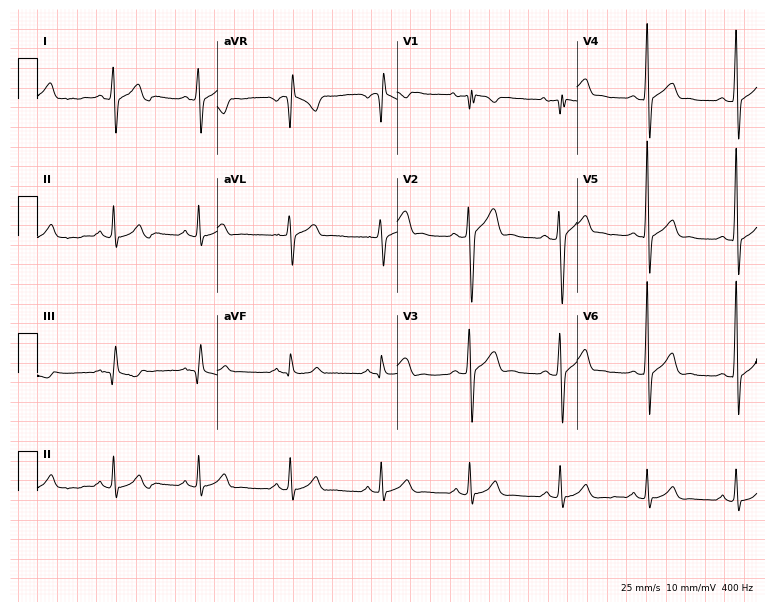
Standard 12-lead ECG recorded from a male patient, 28 years old. None of these six findings is recorded: first-degree AV block, right bundle branch block, left bundle branch block, sinus bradycardia, atrial fibrillation, sinus tachycardia.